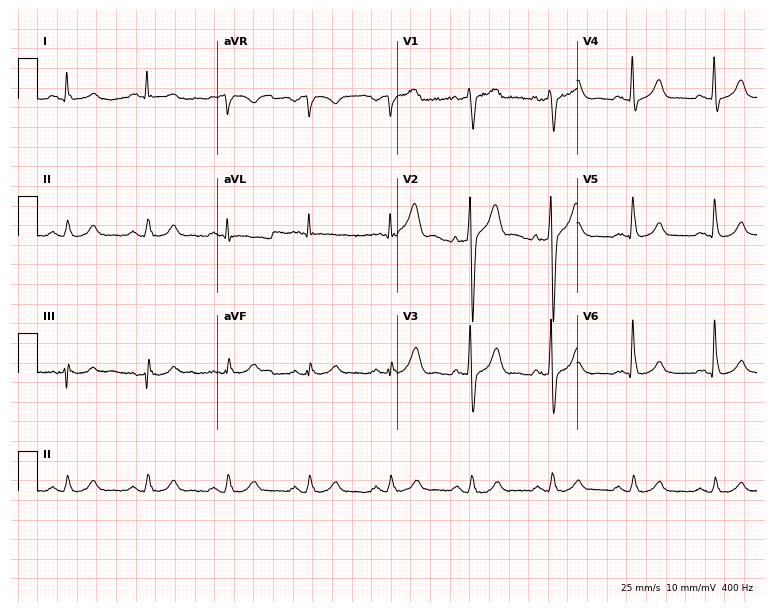
Standard 12-lead ECG recorded from a 53-year-old male patient. Read as a normal ECG.